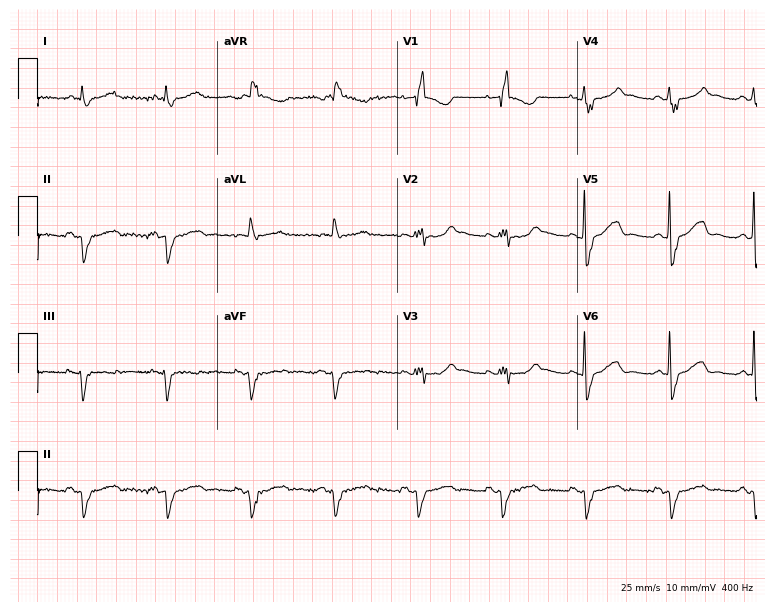
ECG — an 81-year-old female patient. Findings include right bundle branch block.